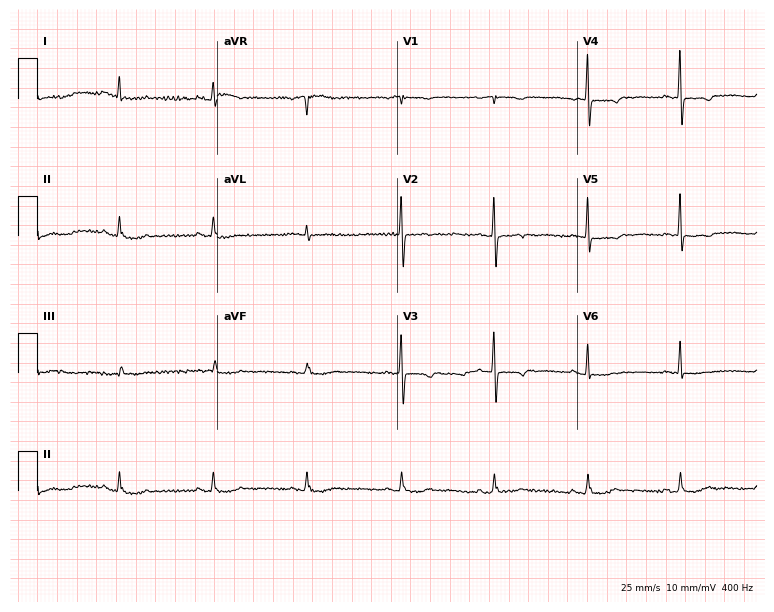
Resting 12-lead electrocardiogram. Patient: a 67-year-old woman. None of these six findings is recorded: first-degree AV block, right bundle branch block, left bundle branch block, sinus bradycardia, atrial fibrillation, sinus tachycardia. Only these six findings were labelled.